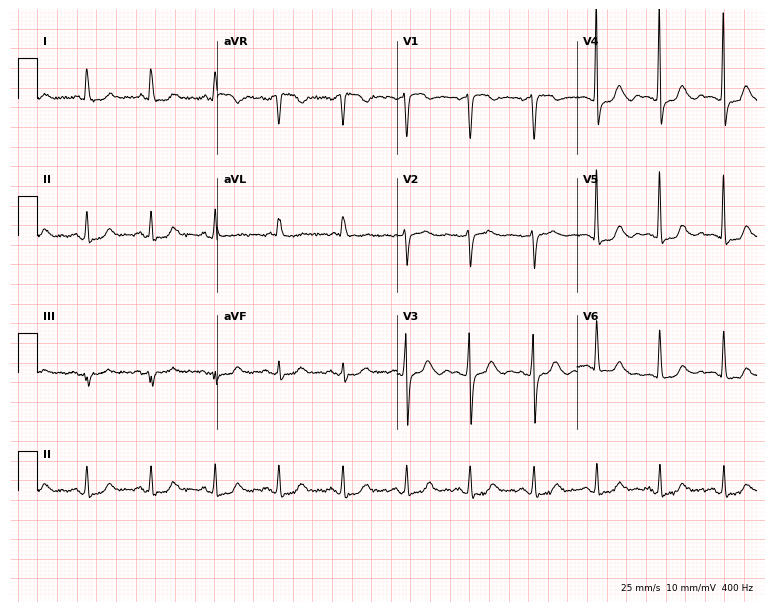
Electrocardiogram (7.3-second recording at 400 Hz), a female patient, 77 years old. Of the six screened findings (first-degree AV block, right bundle branch block, left bundle branch block, sinus bradycardia, atrial fibrillation, sinus tachycardia), none is recorded. Findings outside these six are not listed.